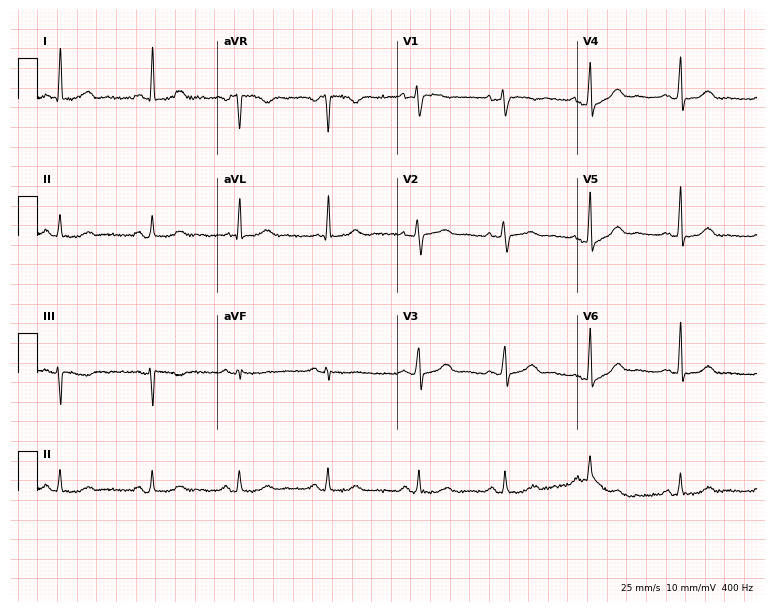
Electrocardiogram (7.3-second recording at 400 Hz), a 46-year-old female patient. Overall reading on record: normal ECG.